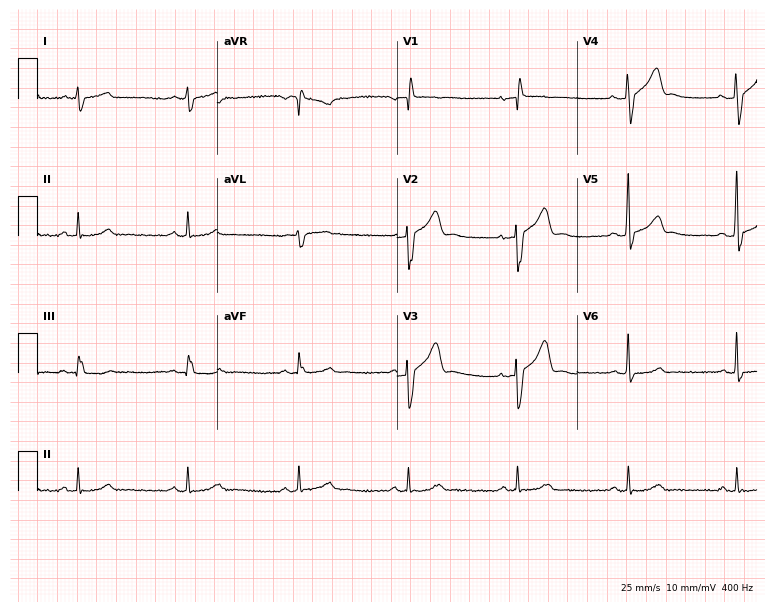
Standard 12-lead ECG recorded from a male patient, 53 years old. None of these six findings is recorded: first-degree AV block, right bundle branch block, left bundle branch block, sinus bradycardia, atrial fibrillation, sinus tachycardia.